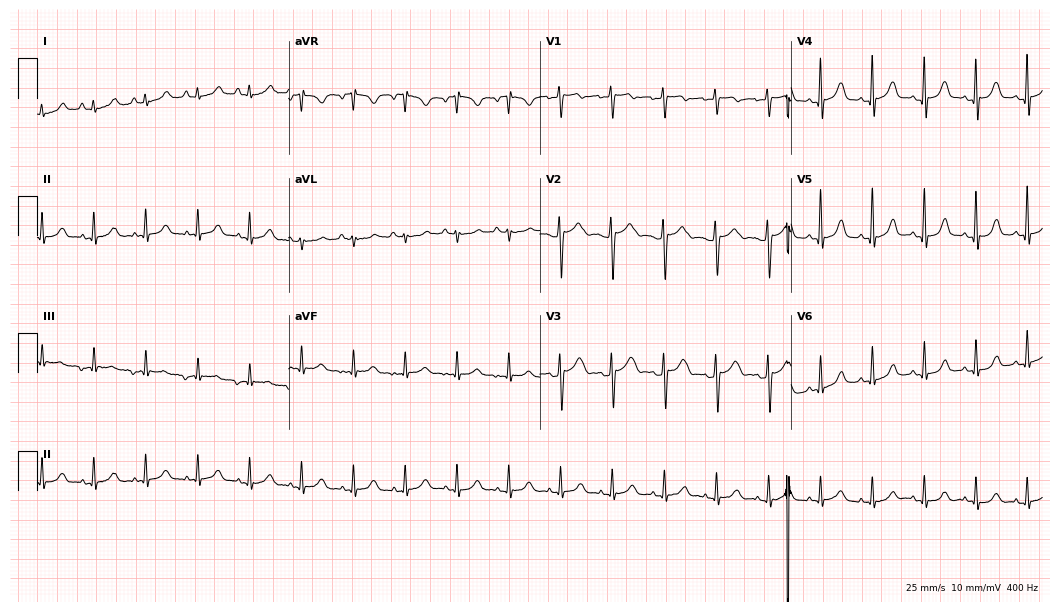
Resting 12-lead electrocardiogram (10.2-second recording at 400 Hz). Patient: a female, 31 years old. None of these six findings is recorded: first-degree AV block, right bundle branch block, left bundle branch block, sinus bradycardia, atrial fibrillation, sinus tachycardia. Findings outside these six are not listed.